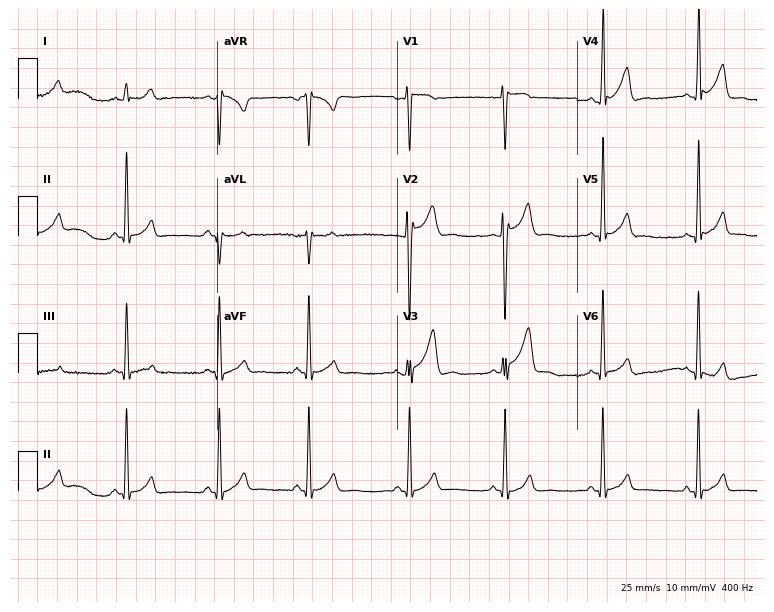
12-lead ECG (7.3-second recording at 400 Hz) from a 24-year-old man. Screened for six findings — first-degree AV block, right bundle branch block, left bundle branch block, sinus bradycardia, atrial fibrillation, sinus tachycardia — none is recorded.